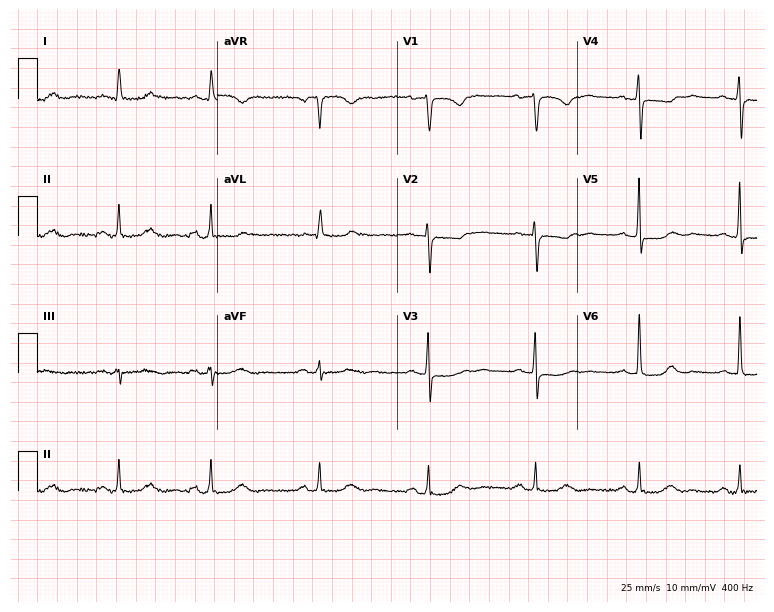
ECG (7.3-second recording at 400 Hz) — a 76-year-old woman. Screened for six findings — first-degree AV block, right bundle branch block, left bundle branch block, sinus bradycardia, atrial fibrillation, sinus tachycardia — none is recorded. Findings outside these six are not listed.